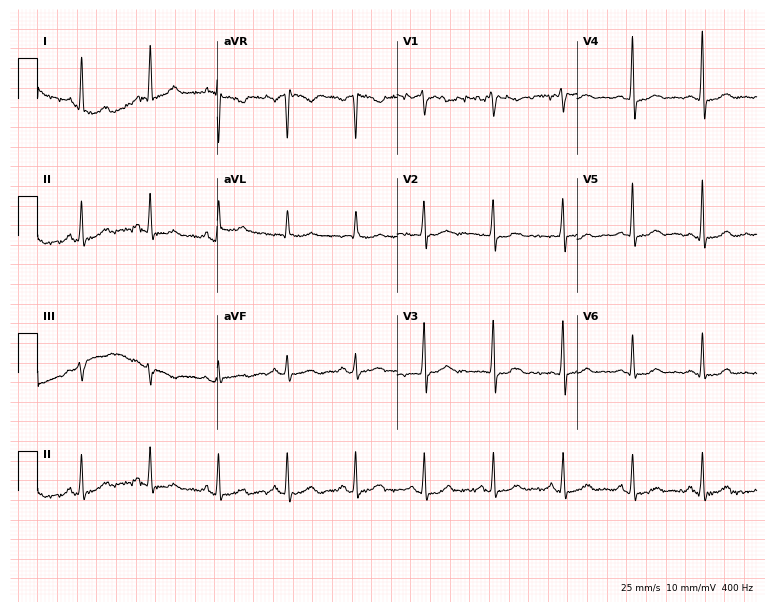
Standard 12-lead ECG recorded from a female patient, 44 years old (7.3-second recording at 400 Hz). None of these six findings is recorded: first-degree AV block, right bundle branch block (RBBB), left bundle branch block (LBBB), sinus bradycardia, atrial fibrillation (AF), sinus tachycardia.